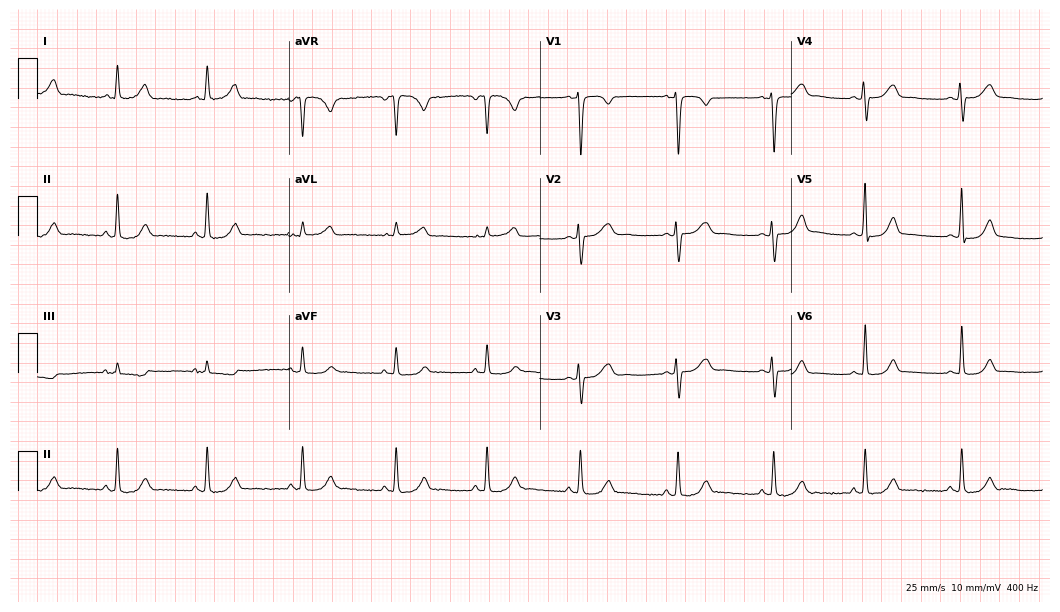
12-lead ECG (10.2-second recording at 400 Hz) from a female patient, 44 years old. Labelled as a normal ECG.